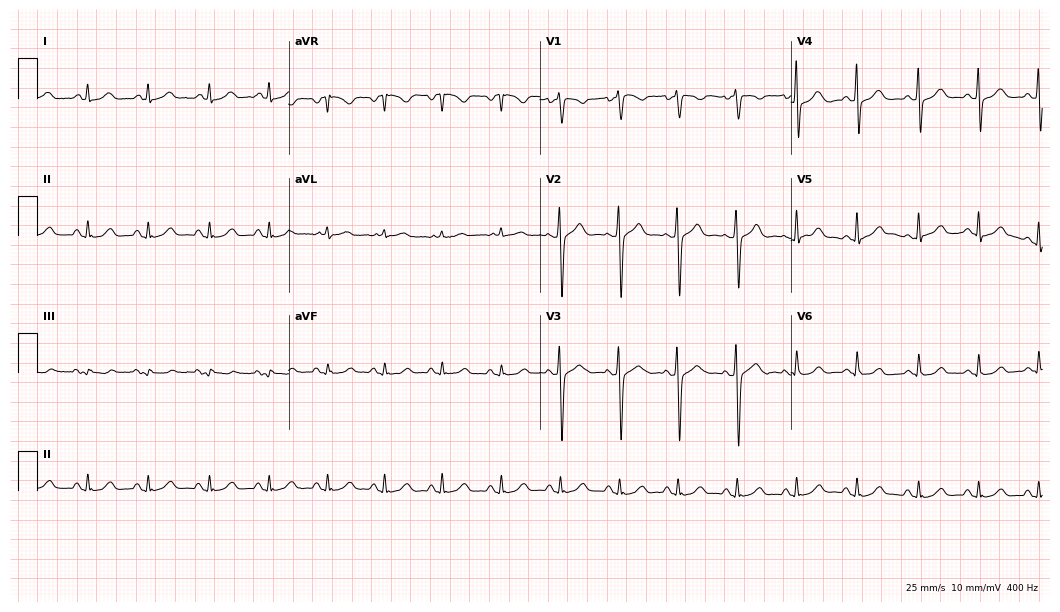
12-lead ECG from a female, 40 years old. No first-degree AV block, right bundle branch block, left bundle branch block, sinus bradycardia, atrial fibrillation or sinus tachycardia recorded for this tracing.